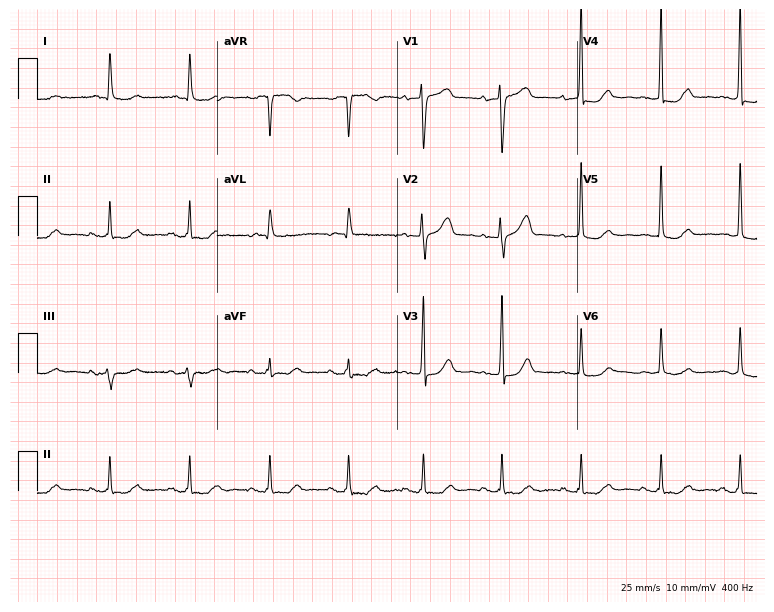
ECG — a woman, 86 years old. Screened for six findings — first-degree AV block, right bundle branch block, left bundle branch block, sinus bradycardia, atrial fibrillation, sinus tachycardia — none is recorded. Only these six findings were labelled.